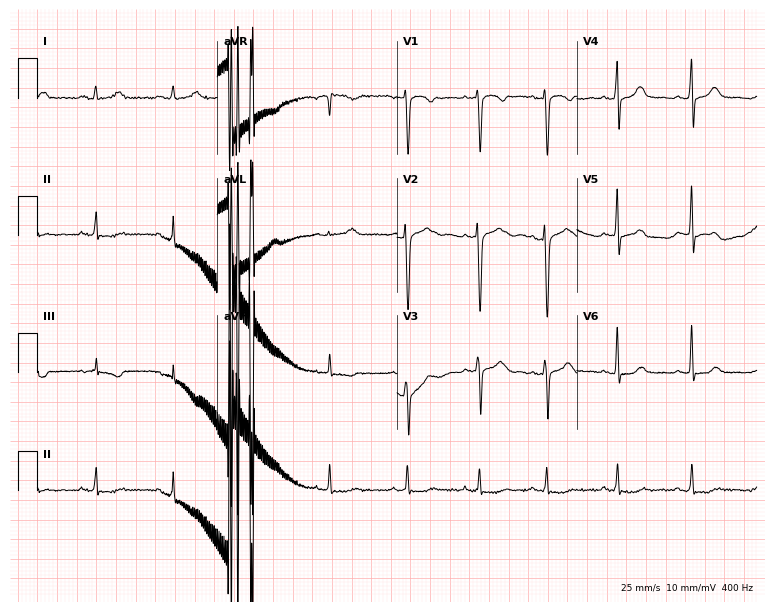
Electrocardiogram (7.3-second recording at 400 Hz), a female, 31 years old. Of the six screened findings (first-degree AV block, right bundle branch block (RBBB), left bundle branch block (LBBB), sinus bradycardia, atrial fibrillation (AF), sinus tachycardia), none is recorded. Other findings, if any, are not listed.